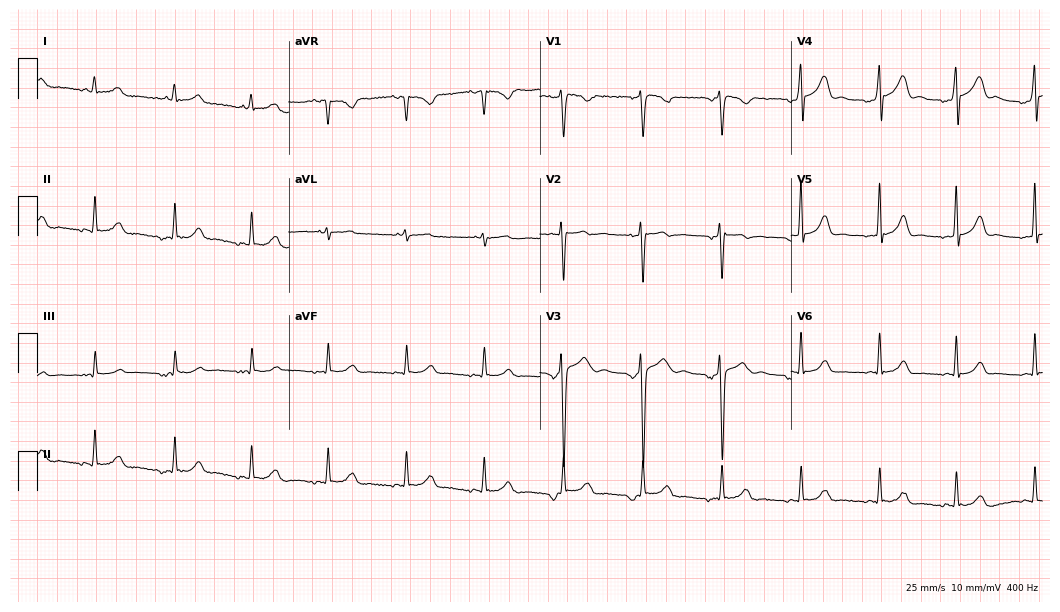
Electrocardiogram, a 29-year-old female. Of the six screened findings (first-degree AV block, right bundle branch block (RBBB), left bundle branch block (LBBB), sinus bradycardia, atrial fibrillation (AF), sinus tachycardia), none is recorded. Only these six findings were labelled.